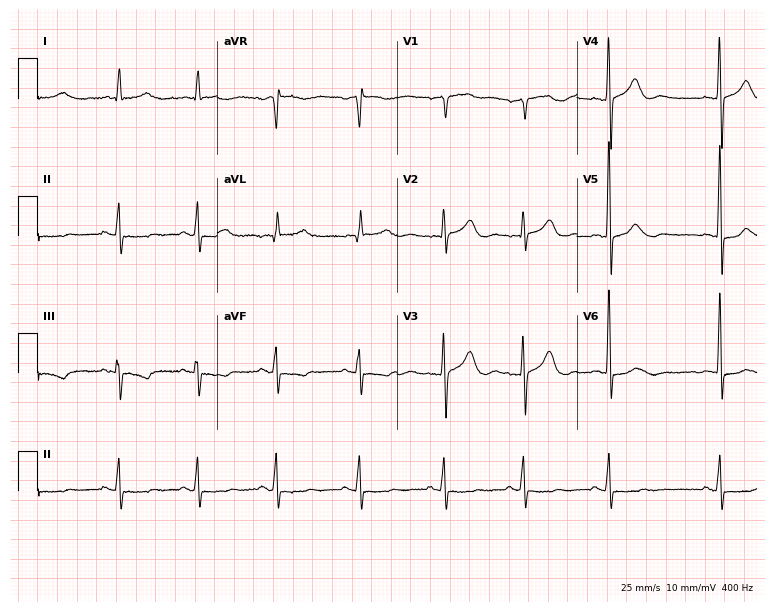
Resting 12-lead electrocardiogram. Patient: a female, 74 years old. None of these six findings is recorded: first-degree AV block, right bundle branch block (RBBB), left bundle branch block (LBBB), sinus bradycardia, atrial fibrillation (AF), sinus tachycardia.